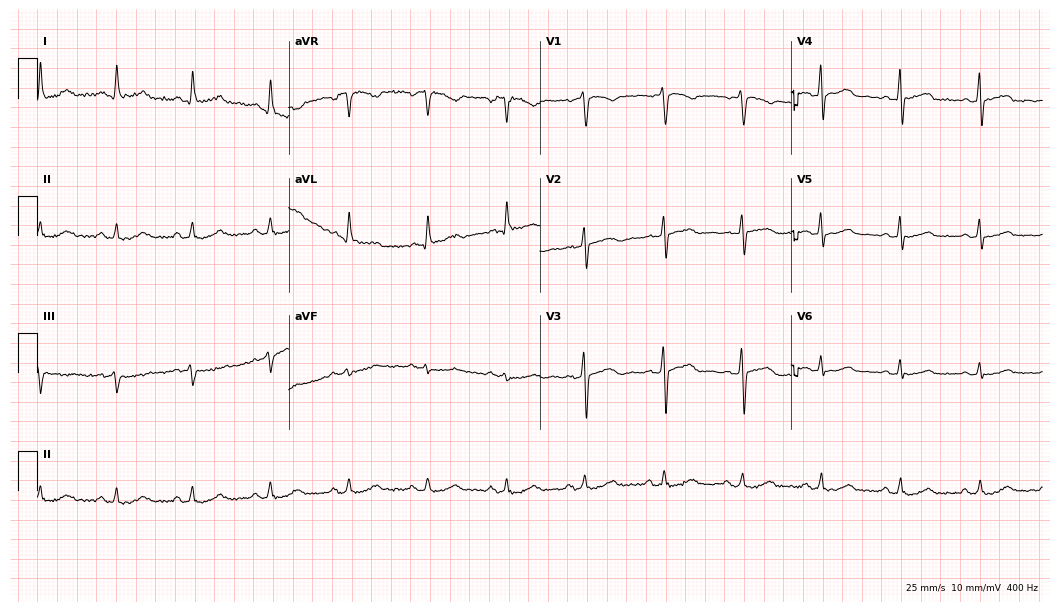
ECG (10.2-second recording at 400 Hz) — a female patient, 59 years old. Labelled as a normal ECG.